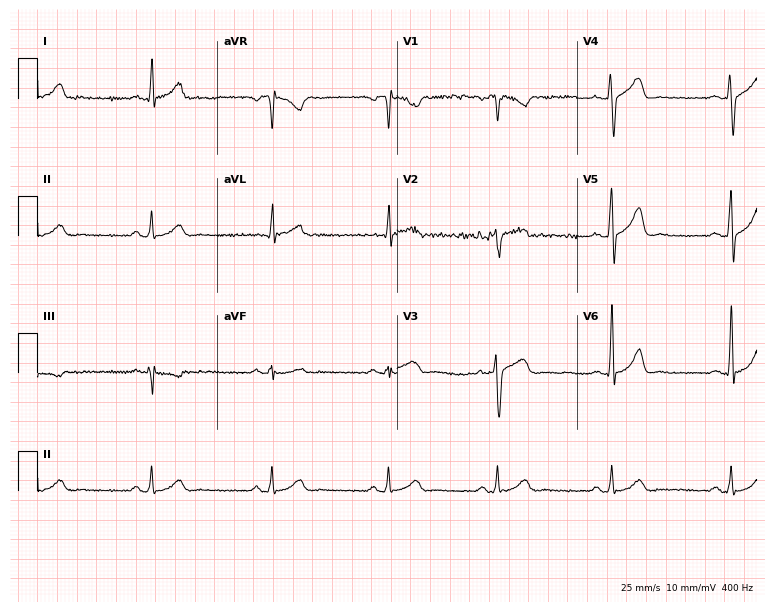
Electrocardiogram, a male patient, 44 years old. Overall reading on record: normal ECG.